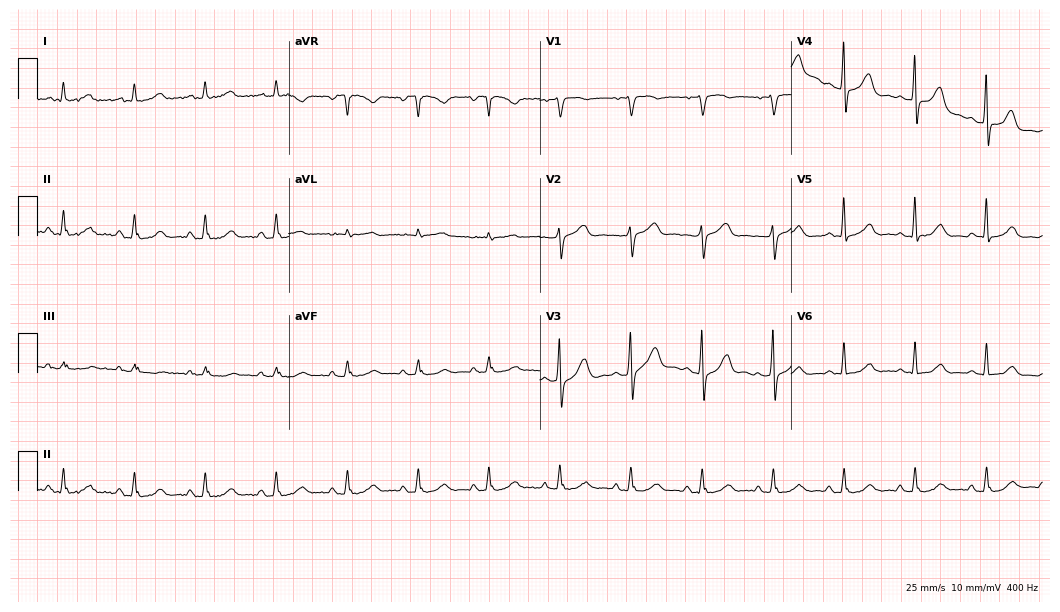
Resting 12-lead electrocardiogram. Patient: a male, 60 years old. Read as a normal ECG.